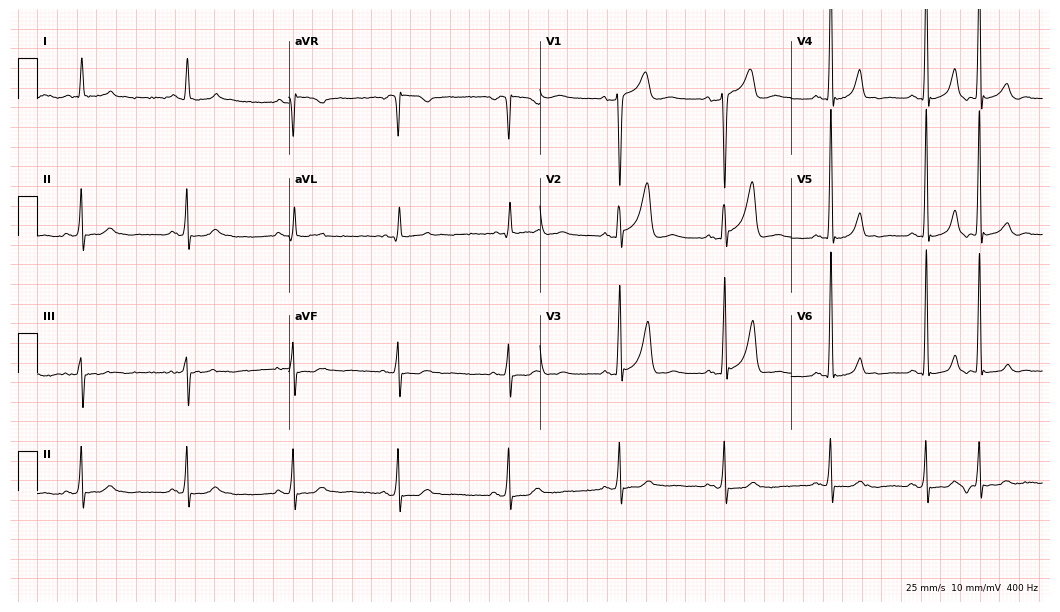
12-lead ECG from a 63-year-old man (10.2-second recording at 400 Hz). No first-degree AV block, right bundle branch block, left bundle branch block, sinus bradycardia, atrial fibrillation or sinus tachycardia recorded for this tracing. Only these six findings were labelled.